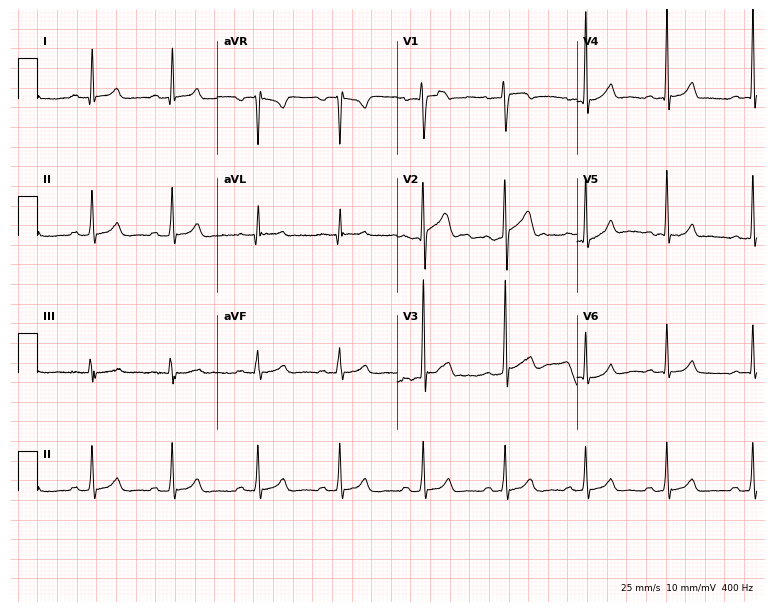
Resting 12-lead electrocardiogram. Patient: a male, 29 years old. Read as a normal ECG.